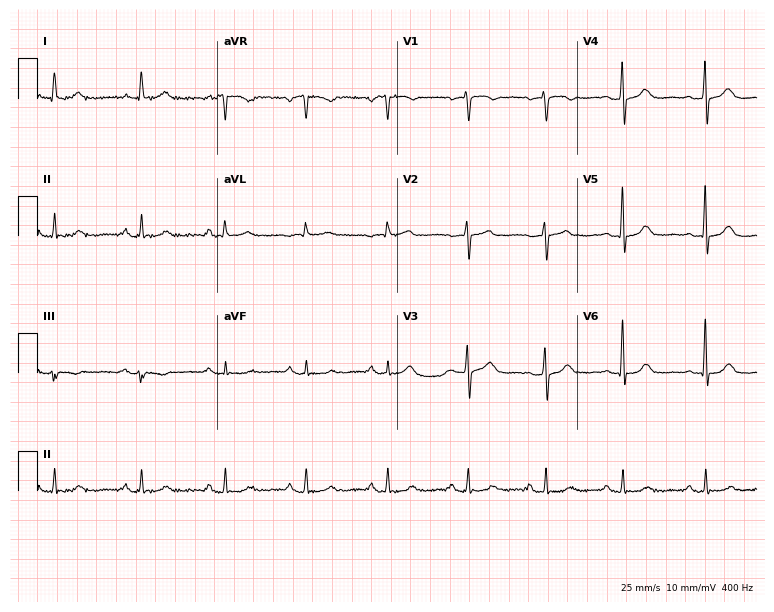
Standard 12-lead ECG recorded from a 56-year-old female (7.3-second recording at 400 Hz). None of these six findings is recorded: first-degree AV block, right bundle branch block, left bundle branch block, sinus bradycardia, atrial fibrillation, sinus tachycardia.